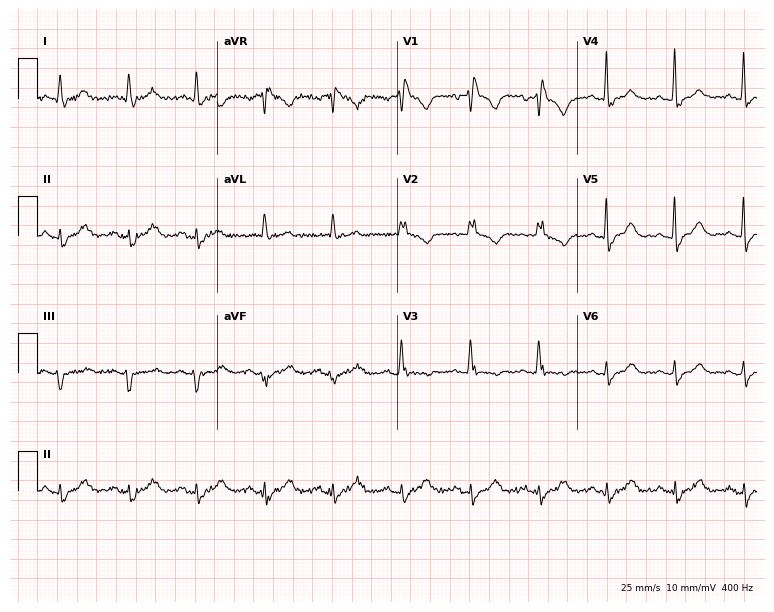
Electrocardiogram, a female, 80 years old. Interpretation includes right bundle branch block.